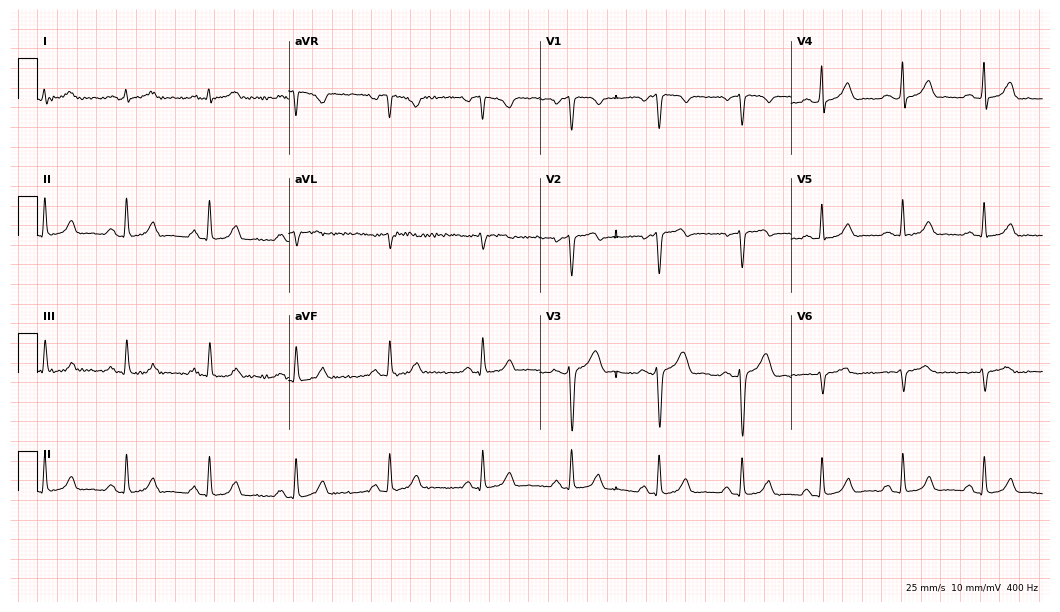
Electrocardiogram, a 49-year-old male. Overall reading on record: normal ECG.